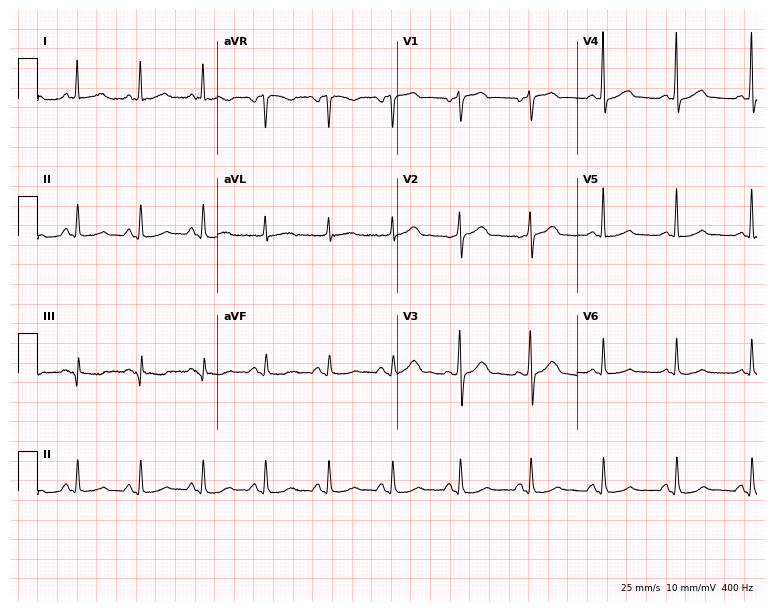
Standard 12-lead ECG recorded from a female patient, 60 years old (7.3-second recording at 400 Hz). None of these six findings is recorded: first-degree AV block, right bundle branch block, left bundle branch block, sinus bradycardia, atrial fibrillation, sinus tachycardia. Only these six findings were labelled.